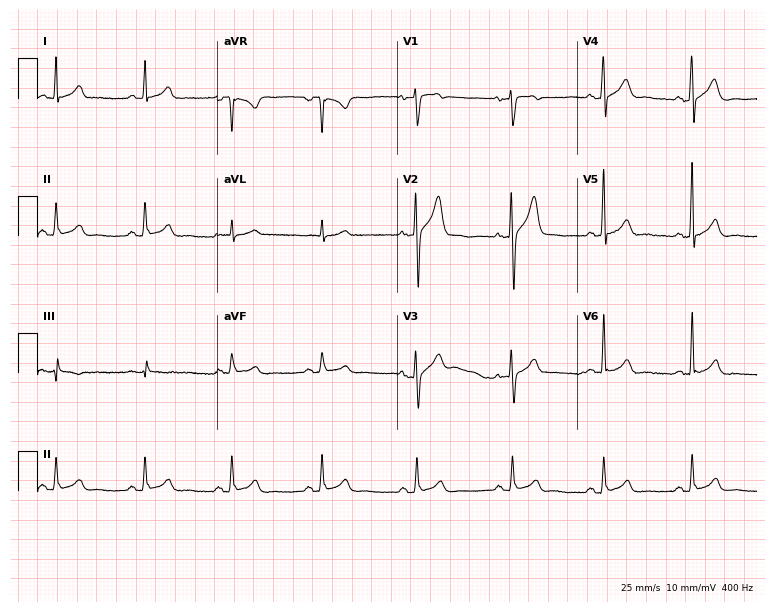
12-lead ECG from a male, 38 years old (7.3-second recording at 400 Hz). Recorded interpretation: within normal limits.